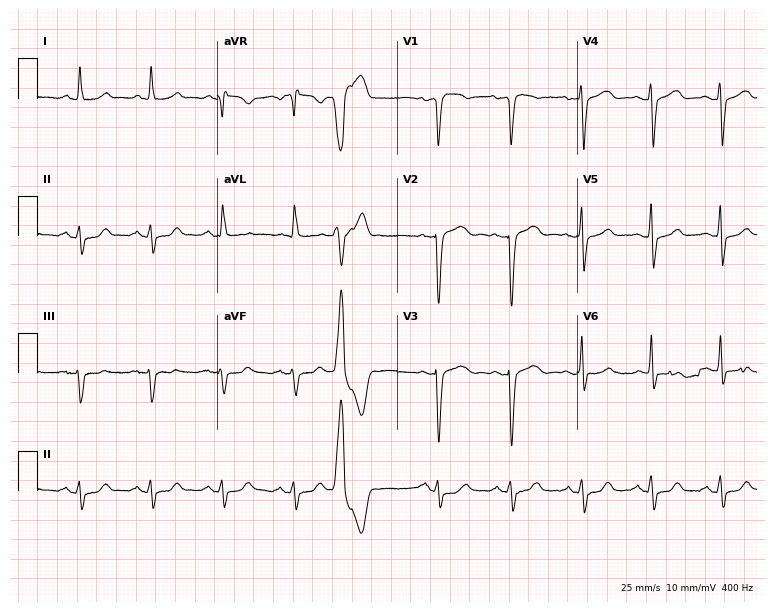
Standard 12-lead ECG recorded from a 53-year-old female. None of these six findings is recorded: first-degree AV block, right bundle branch block (RBBB), left bundle branch block (LBBB), sinus bradycardia, atrial fibrillation (AF), sinus tachycardia.